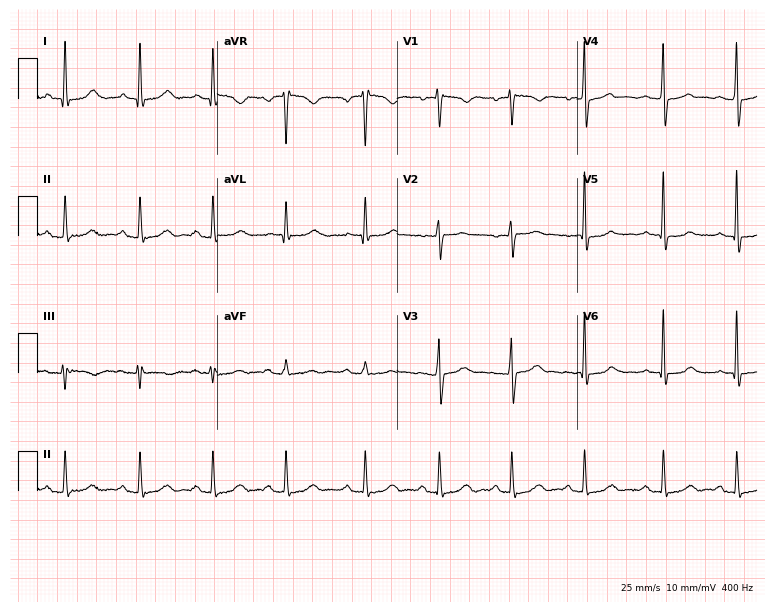
Resting 12-lead electrocardiogram. Patient: a 30-year-old female. None of these six findings is recorded: first-degree AV block, right bundle branch block, left bundle branch block, sinus bradycardia, atrial fibrillation, sinus tachycardia. Other findings, if any, are not listed.